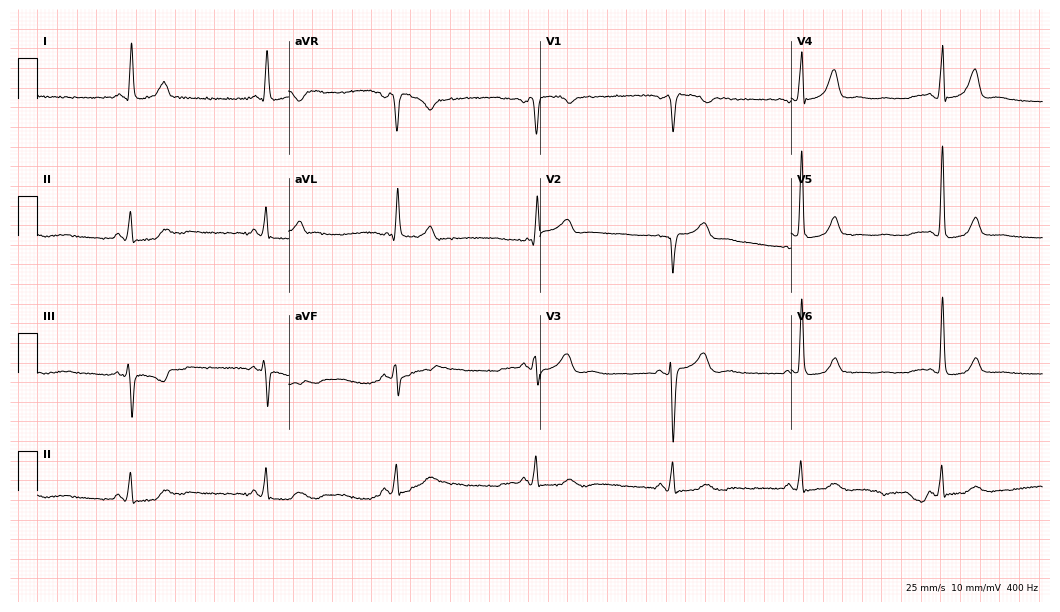
Electrocardiogram, a female patient, 58 years old. Of the six screened findings (first-degree AV block, right bundle branch block, left bundle branch block, sinus bradycardia, atrial fibrillation, sinus tachycardia), none is recorded. Only these six findings were labelled.